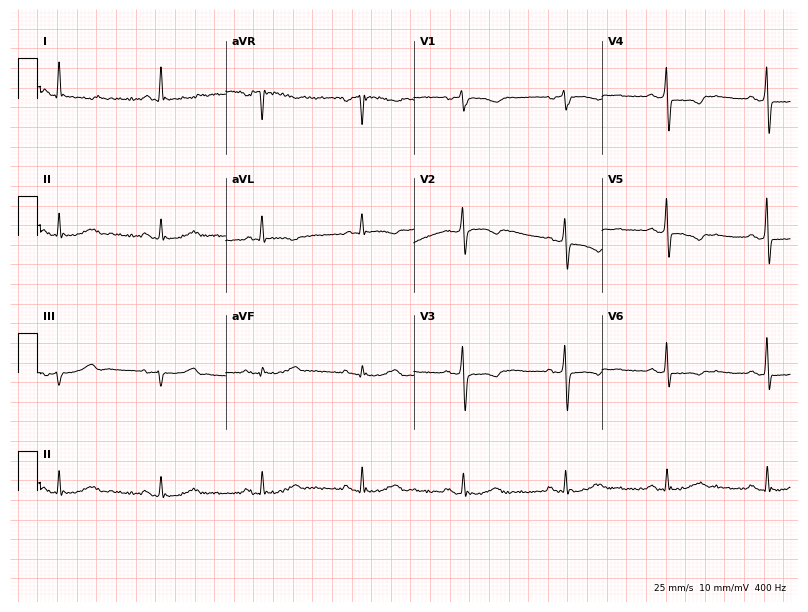
Electrocardiogram, a 67-year-old female. Of the six screened findings (first-degree AV block, right bundle branch block (RBBB), left bundle branch block (LBBB), sinus bradycardia, atrial fibrillation (AF), sinus tachycardia), none is recorded.